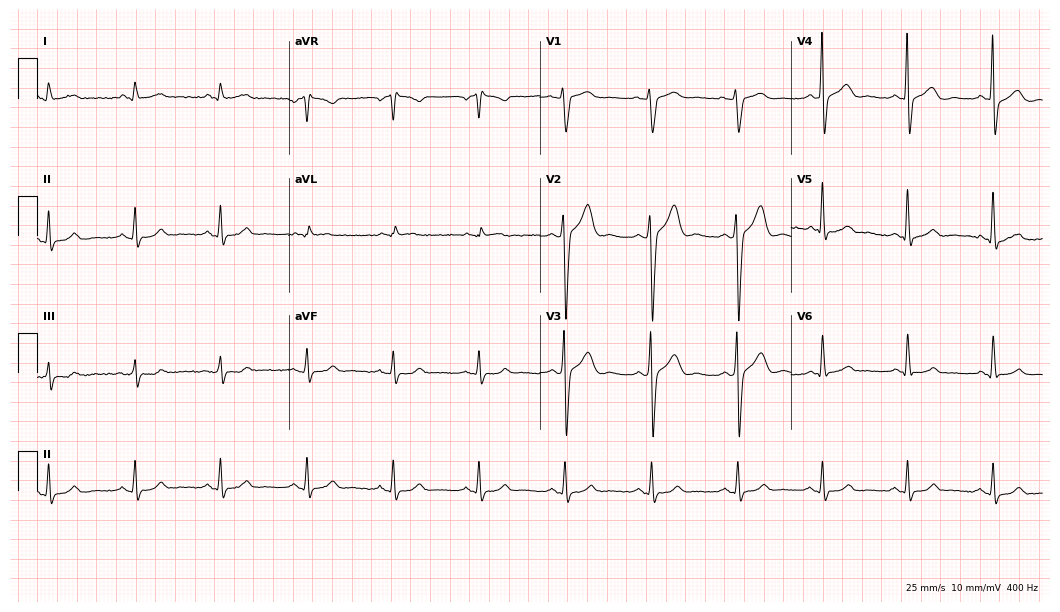
12-lead ECG from a 54-year-old male. Screened for six findings — first-degree AV block, right bundle branch block, left bundle branch block, sinus bradycardia, atrial fibrillation, sinus tachycardia — none is recorded. Only these six findings were labelled.